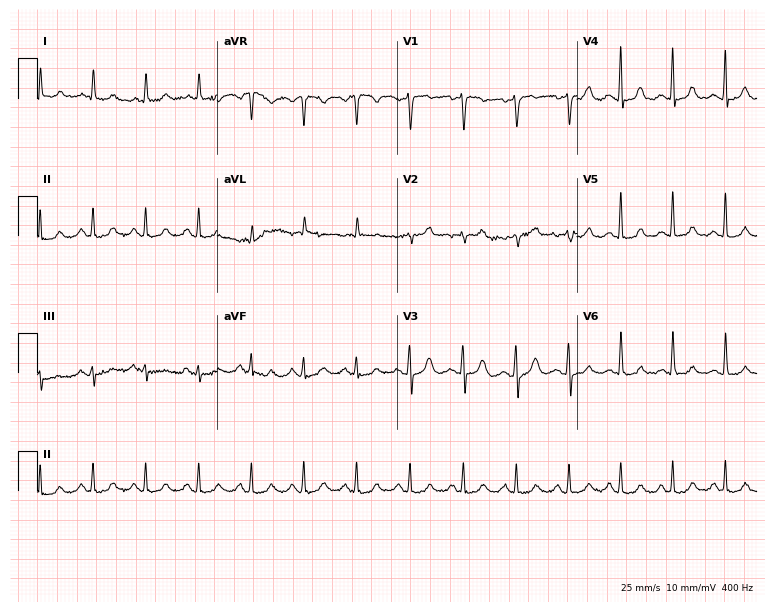
Resting 12-lead electrocardiogram (7.3-second recording at 400 Hz). Patient: a 38-year-old female. The tracing shows sinus tachycardia (a sinus rate of 100 beats per minute or more).